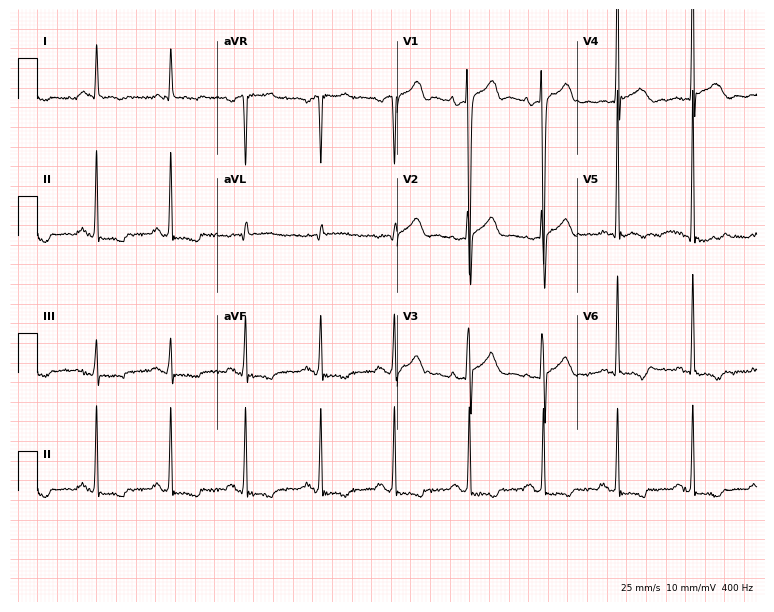
Resting 12-lead electrocardiogram (7.3-second recording at 400 Hz). Patient: an 82-year-old male. None of these six findings is recorded: first-degree AV block, right bundle branch block, left bundle branch block, sinus bradycardia, atrial fibrillation, sinus tachycardia.